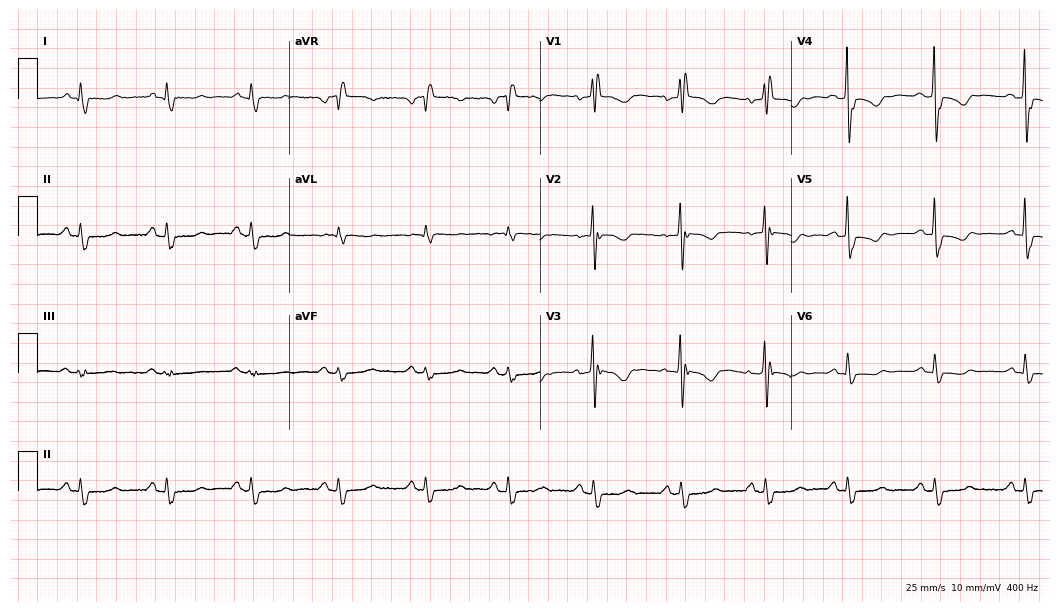
12-lead ECG from a woman, 73 years old (10.2-second recording at 400 Hz). Shows right bundle branch block (RBBB).